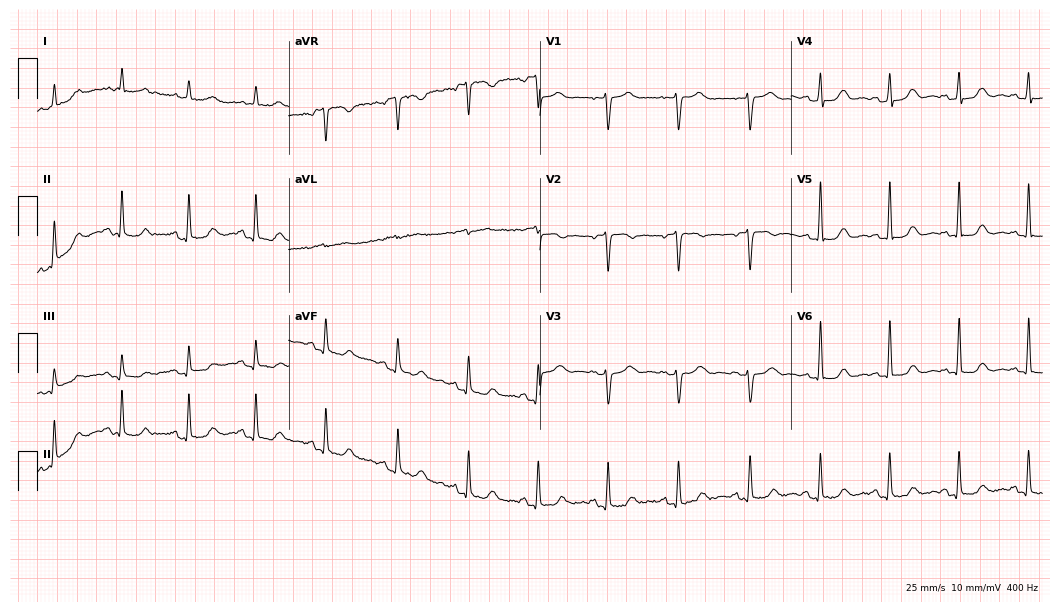
12-lead ECG from a 62-year-old female. Screened for six findings — first-degree AV block, right bundle branch block, left bundle branch block, sinus bradycardia, atrial fibrillation, sinus tachycardia — none is recorded.